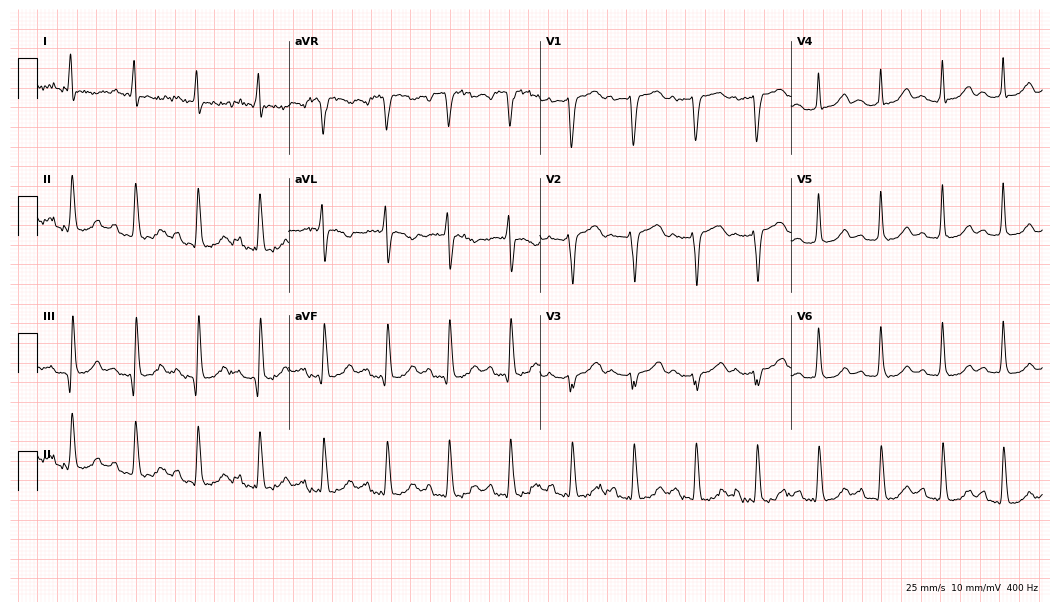
12-lead ECG (10.2-second recording at 400 Hz) from a woman, 61 years old. Findings include first-degree AV block.